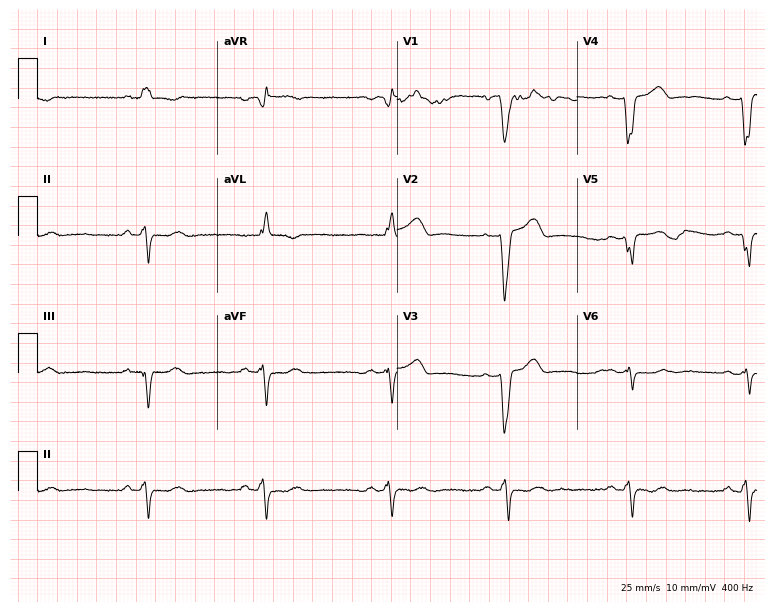
Standard 12-lead ECG recorded from a female, 79 years old. None of these six findings is recorded: first-degree AV block, right bundle branch block, left bundle branch block, sinus bradycardia, atrial fibrillation, sinus tachycardia.